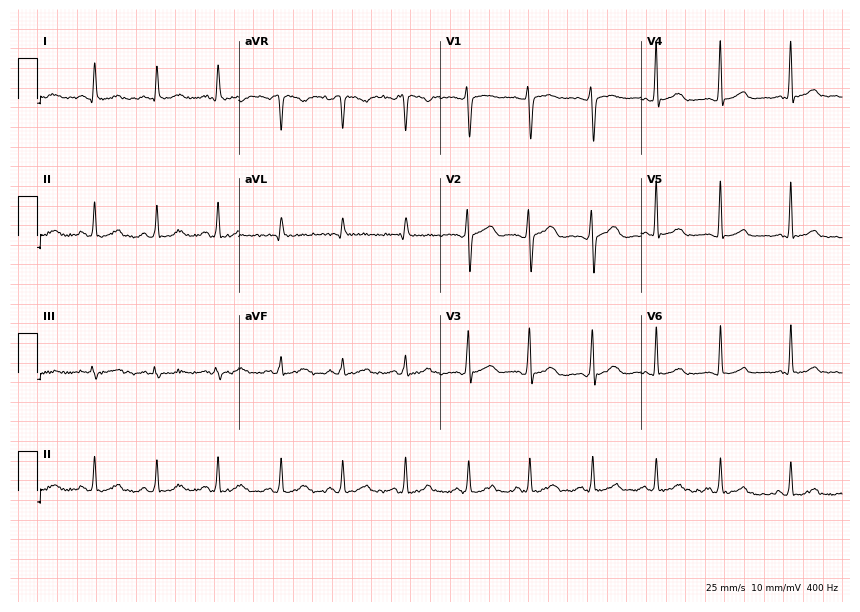
Resting 12-lead electrocardiogram (8.2-second recording at 400 Hz). Patient: a 26-year-old female. Read as a normal ECG.